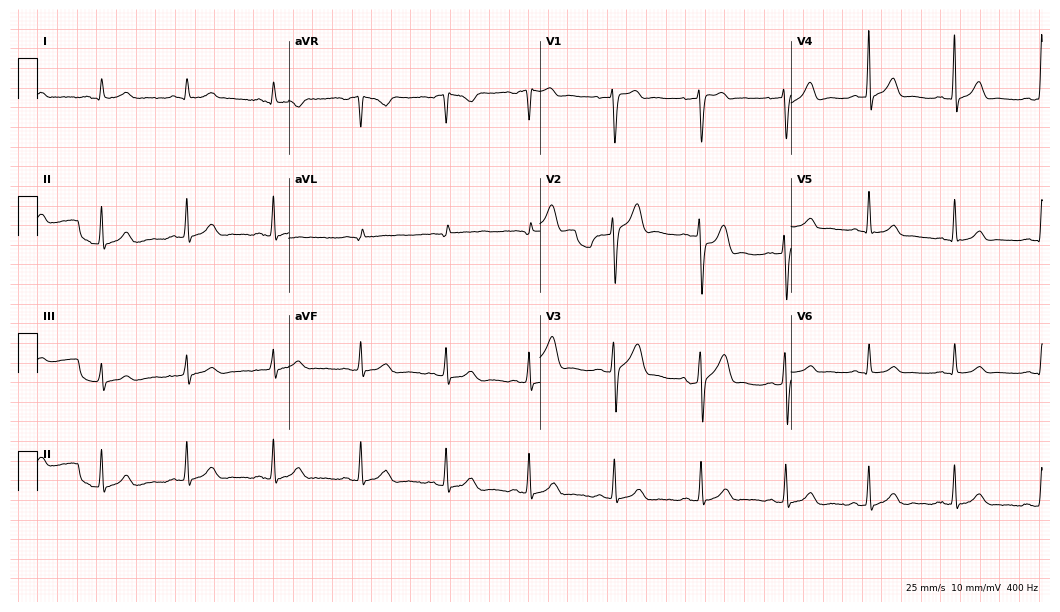
12-lead ECG (10.2-second recording at 400 Hz) from a male, 34 years old. Labelled as a normal ECG.